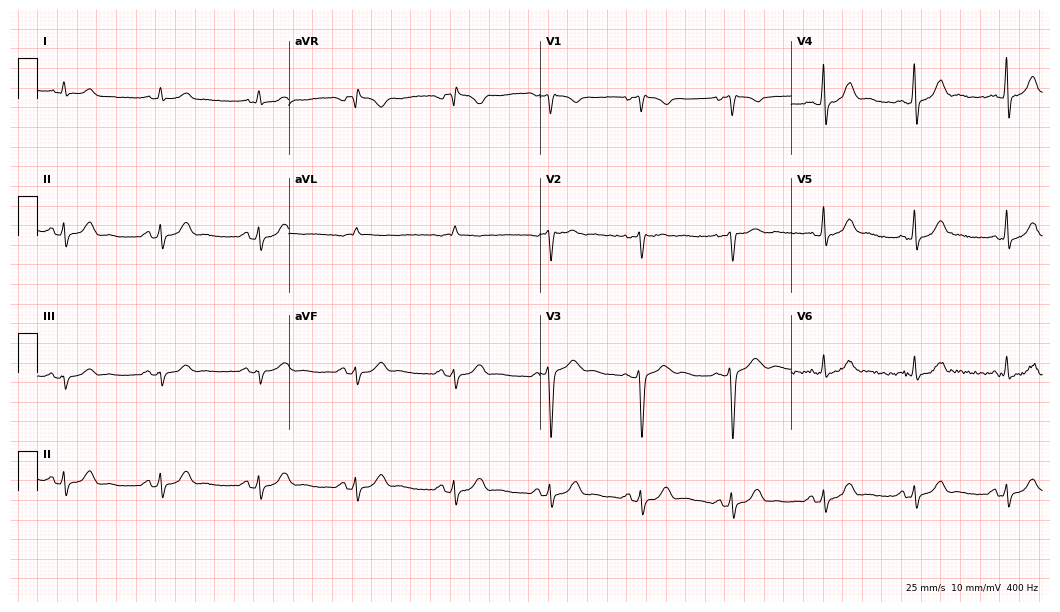
12-lead ECG from a 38-year-old male patient (10.2-second recording at 400 Hz). Recorded interpretation: within normal limits.